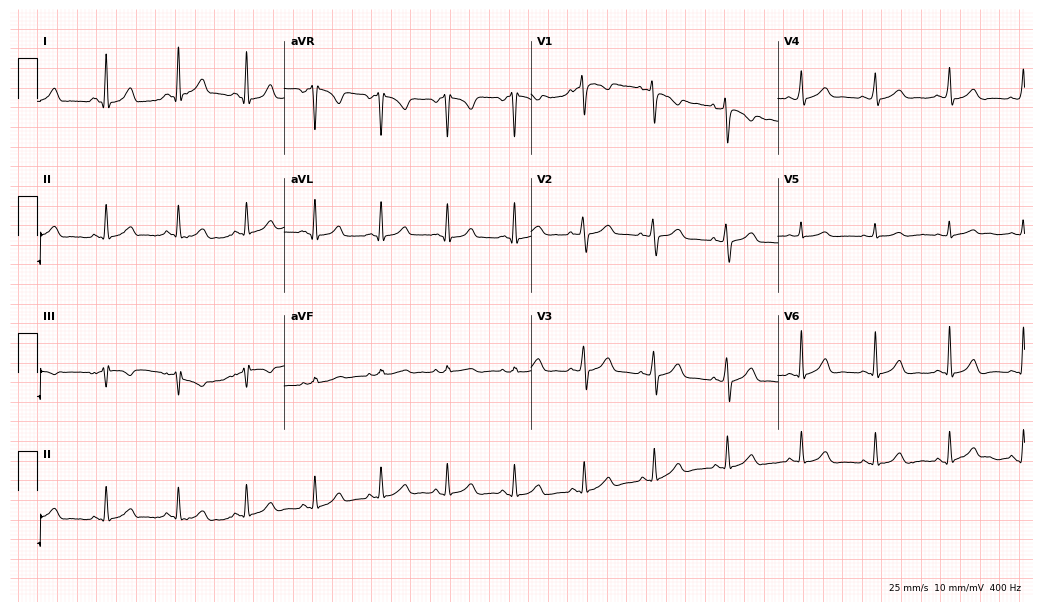
12-lead ECG from a woman, 24 years old. No first-degree AV block, right bundle branch block, left bundle branch block, sinus bradycardia, atrial fibrillation or sinus tachycardia recorded for this tracing.